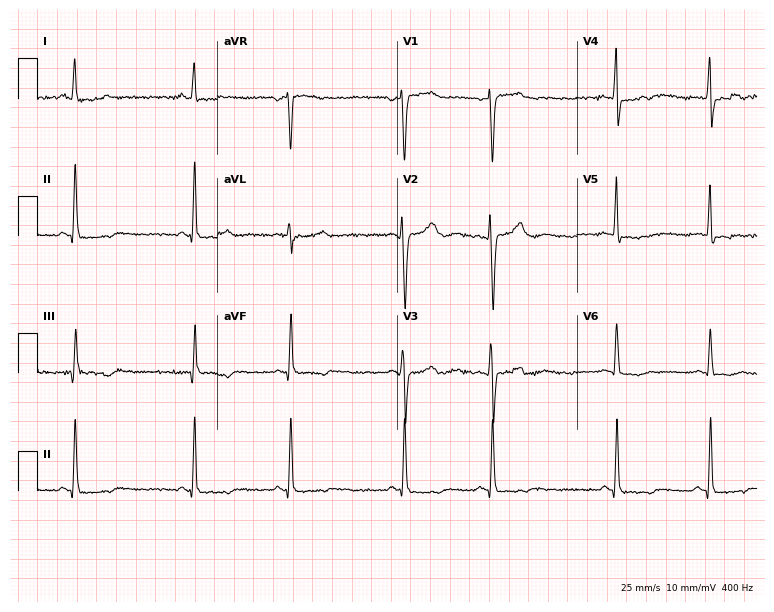
Standard 12-lead ECG recorded from a 46-year-old woman (7.3-second recording at 400 Hz). None of these six findings is recorded: first-degree AV block, right bundle branch block, left bundle branch block, sinus bradycardia, atrial fibrillation, sinus tachycardia. Findings outside these six are not listed.